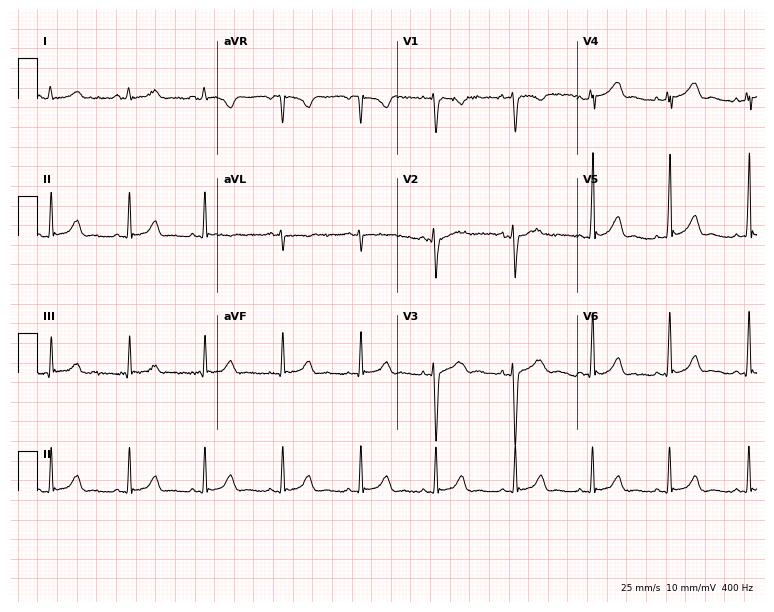
12-lead ECG from a female patient, 18 years old (7.3-second recording at 400 Hz). No first-degree AV block, right bundle branch block, left bundle branch block, sinus bradycardia, atrial fibrillation or sinus tachycardia recorded for this tracing.